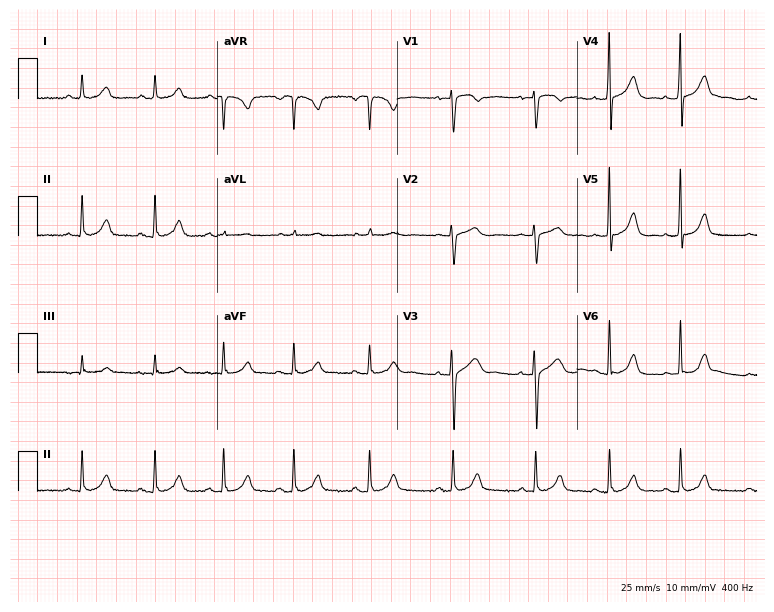
Electrocardiogram, a female patient, 25 years old. Overall reading on record: normal ECG.